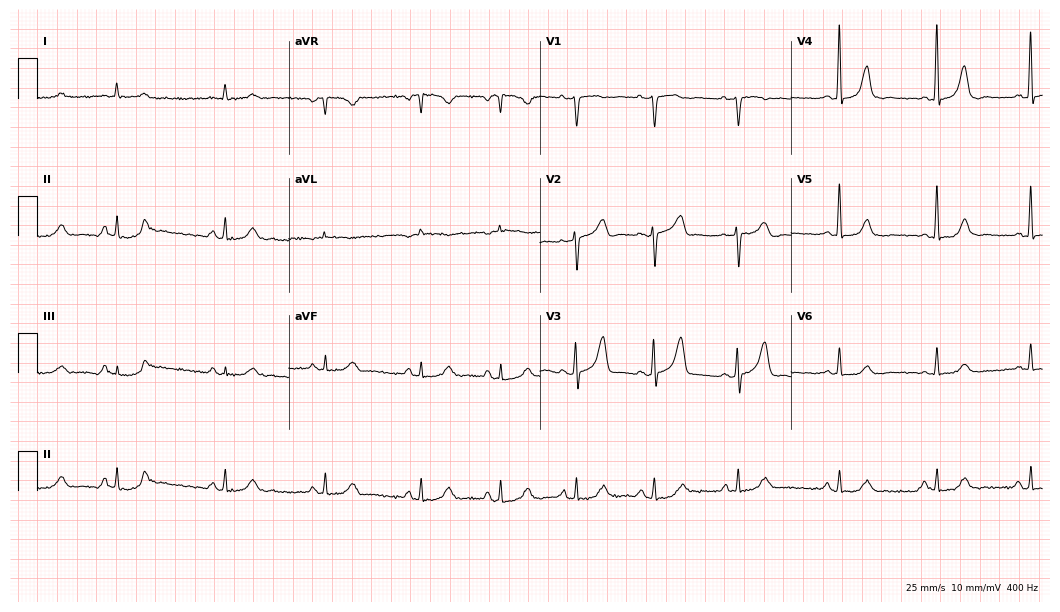
12-lead ECG from a female patient, 71 years old. Screened for six findings — first-degree AV block, right bundle branch block (RBBB), left bundle branch block (LBBB), sinus bradycardia, atrial fibrillation (AF), sinus tachycardia — none is recorded. Other findings, if any, are not listed.